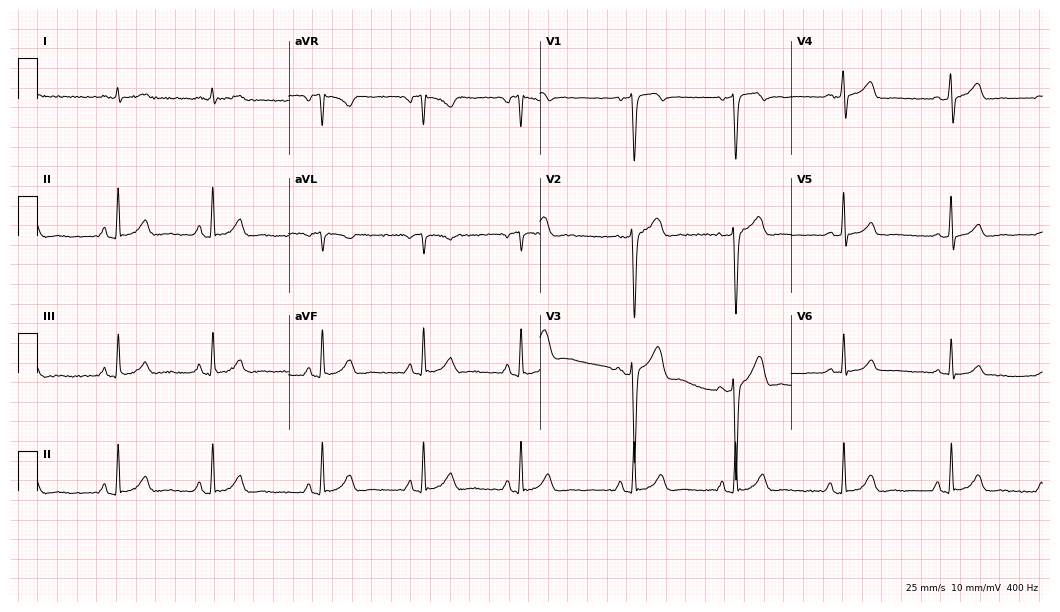
ECG — a 39-year-old male patient. Labelled as a normal ECG.